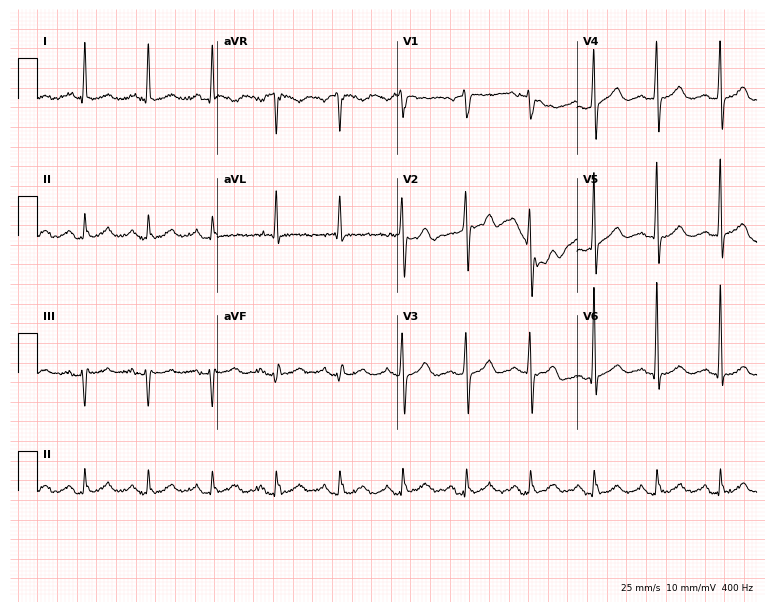
ECG (7.3-second recording at 400 Hz) — a man, 77 years old. Screened for six findings — first-degree AV block, right bundle branch block, left bundle branch block, sinus bradycardia, atrial fibrillation, sinus tachycardia — none is recorded. Only these six findings were labelled.